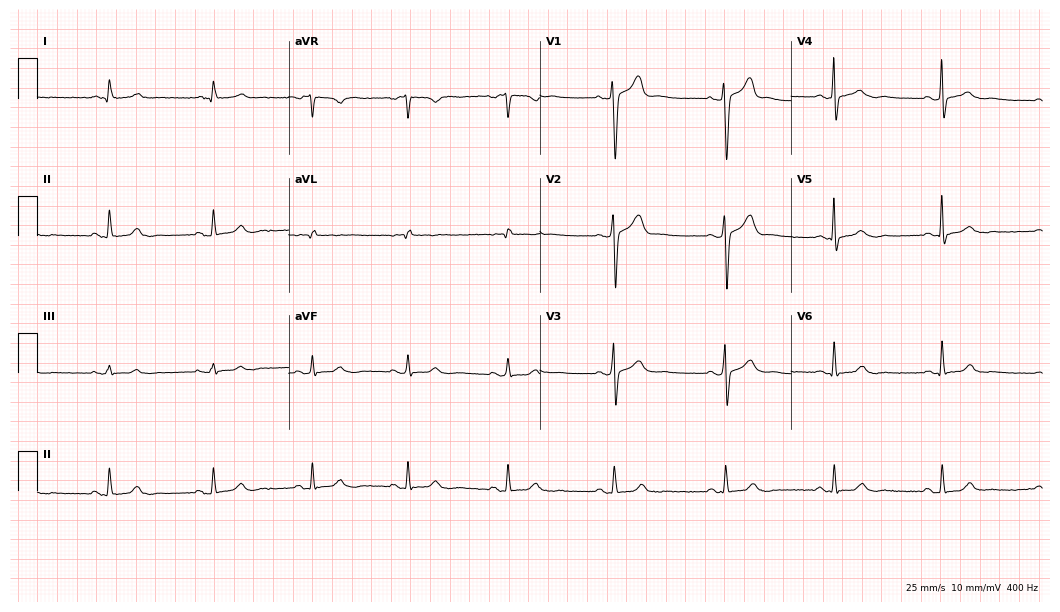
ECG (10.2-second recording at 400 Hz) — a 54-year-old man. Labelled as a normal ECG.